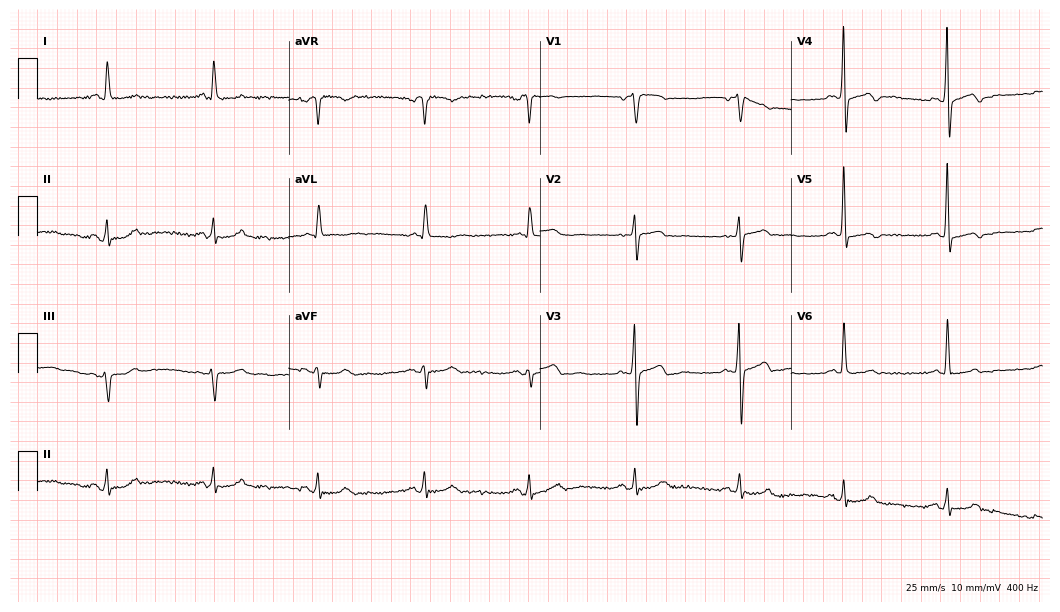
12-lead ECG from a male patient, 85 years old. Screened for six findings — first-degree AV block, right bundle branch block, left bundle branch block, sinus bradycardia, atrial fibrillation, sinus tachycardia — none is recorded. Findings outside these six are not listed.